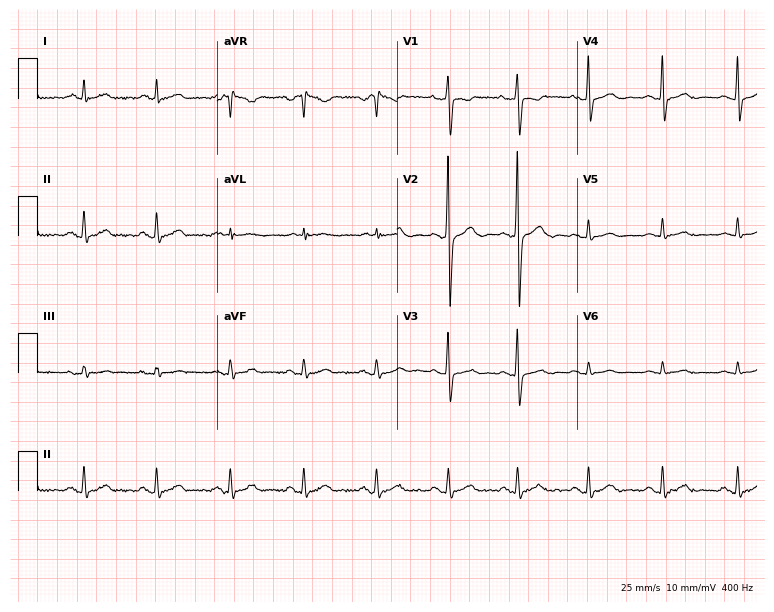
12-lead ECG from a 76-year-old man (7.3-second recording at 400 Hz). Recorded interpretation: within normal limits.